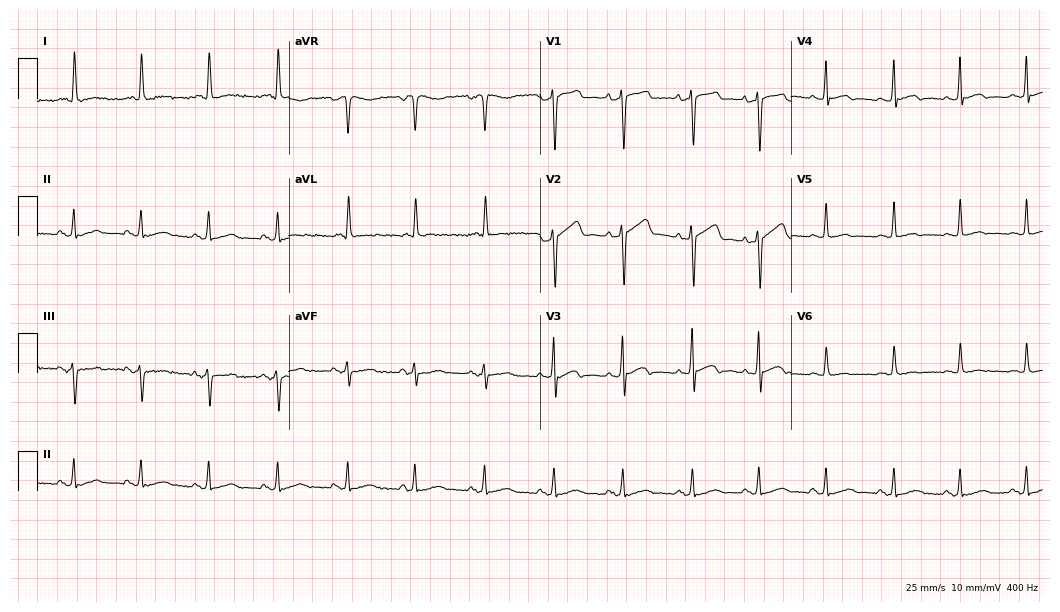
Resting 12-lead electrocardiogram (10.2-second recording at 400 Hz). Patient: an 85-year-old female. None of these six findings is recorded: first-degree AV block, right bundle branch block (RBBB), left bundle branch block (LBBB), sinus bradycardia, atrial fibrillation (AF), sinus tachycardia. Only these six findings were labelled.